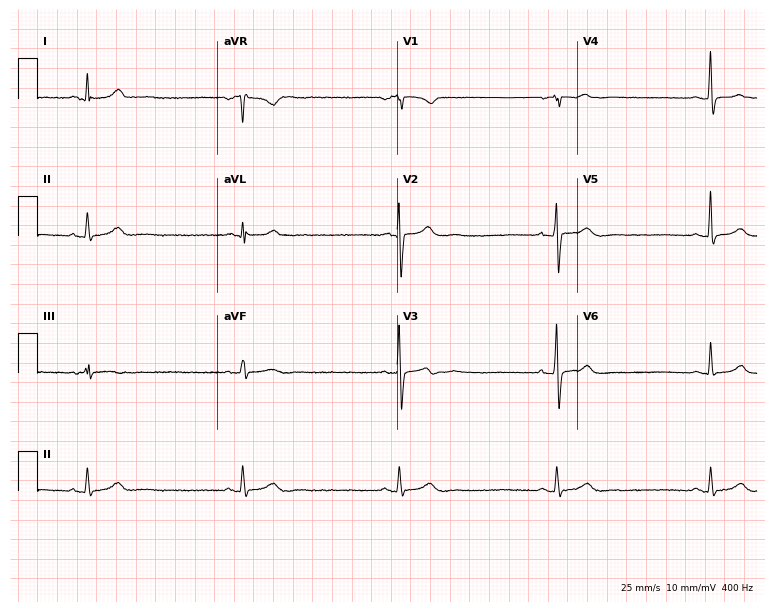
Standard 12-lead ECG recorded from a 68-year-old female patient (7.3-second recording at 400 Hz). The tracing shows sinus bradycardia (a sinus rate of 50 beats per minute or less).